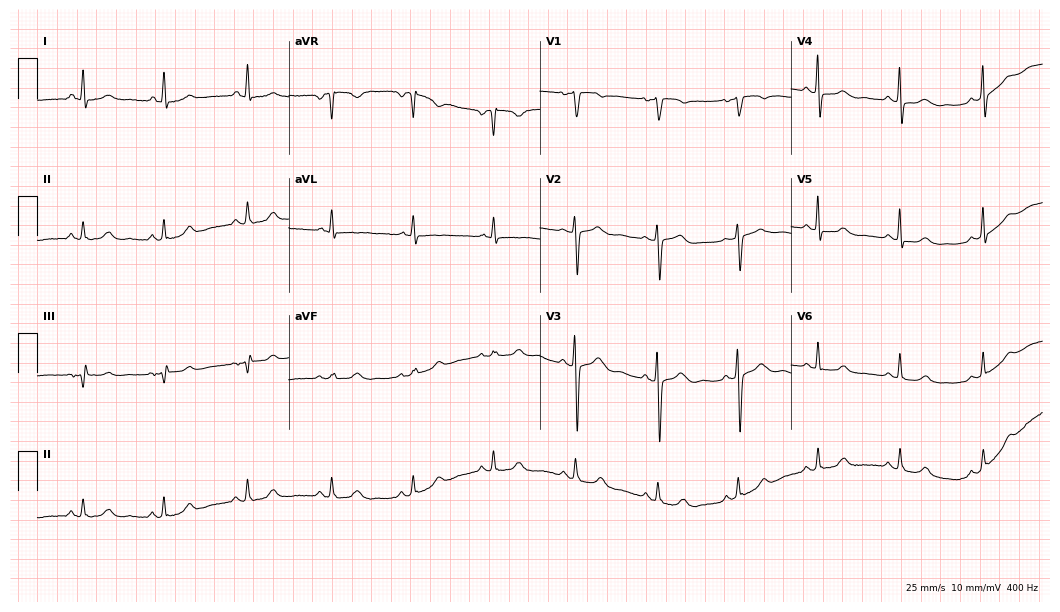
Electrocardiogram (10.2-second recording at 400 Hz), a 53-year-old female patient. Overall reading on record: normal ECG.